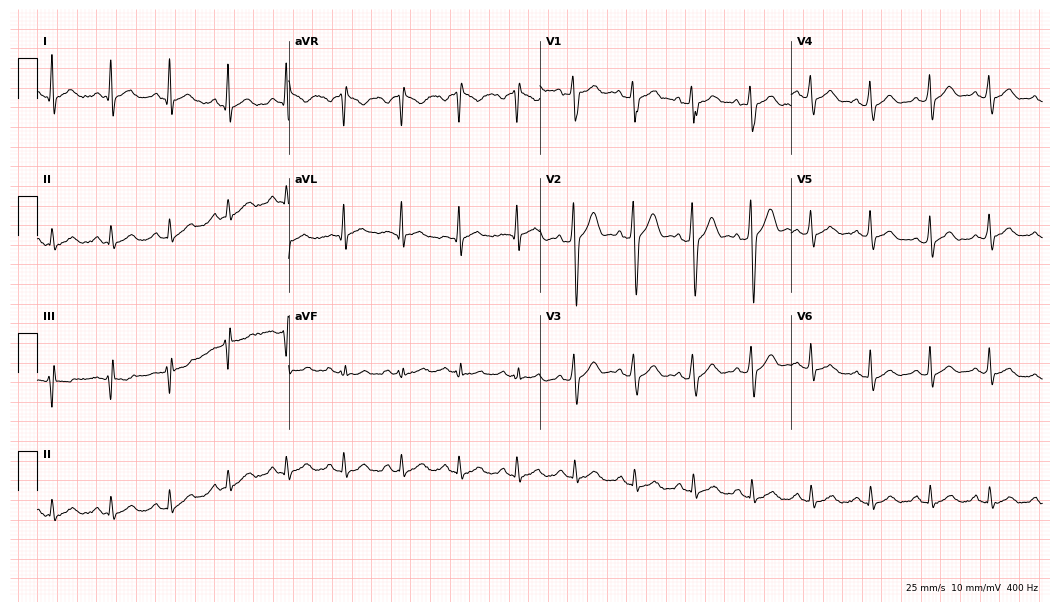
Electrocardiogram (10.2-second recording at 400 Hz), a male patient, 32 years old. Overall reading on record: normal ECG.